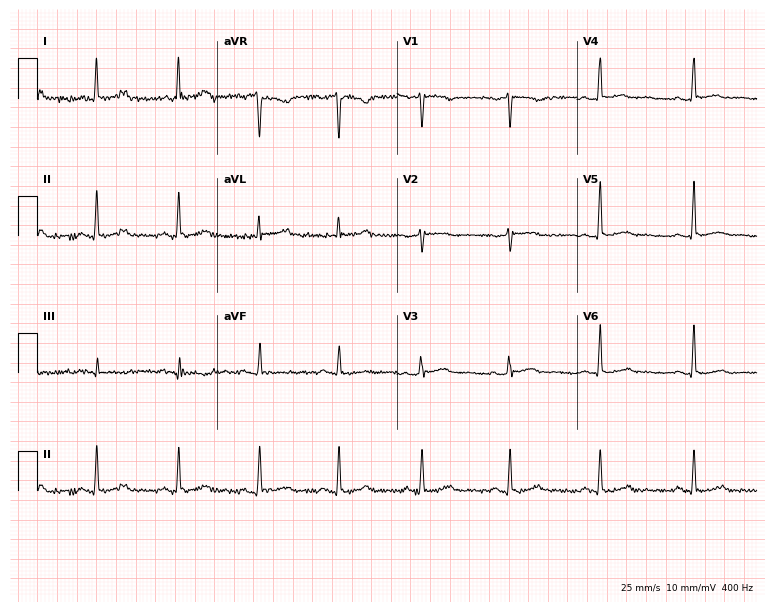
ECG — a female patient, 54 years old. Labelled as a normal ECG.